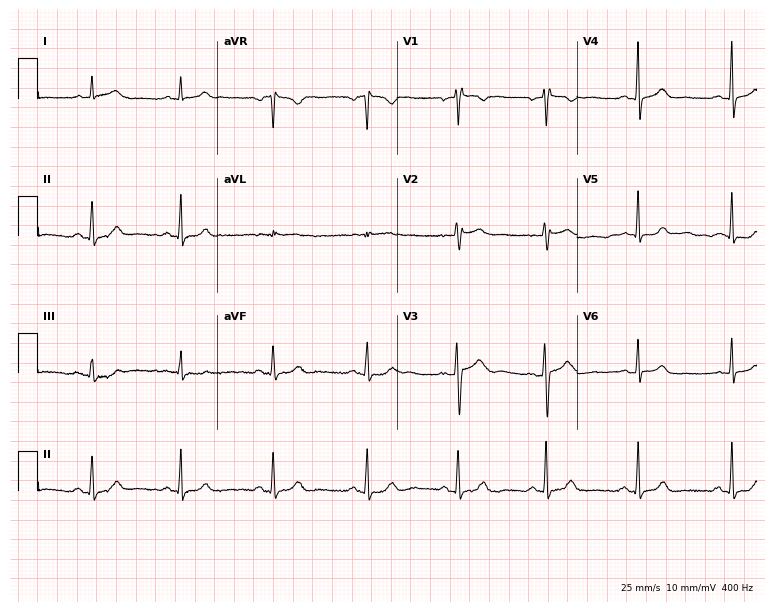
Standard 12-lead ECG recorded from a woman, 42 years old (7.3-second recording at 400 Hz). None of these six findings is recorded: first-degree AV block, right bundle branch block, left bundle branch block, sinus bradycardia, atrial fibrillation, sinus tachycardia.